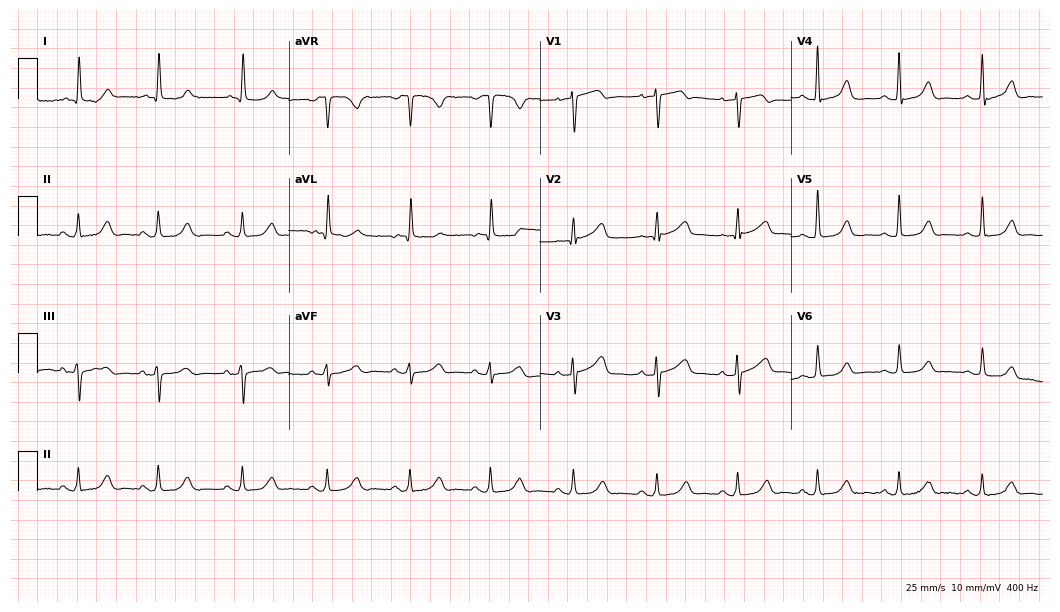
12-lead ECG from a 75-year-old female. Recorded interpretation: within normal limits.